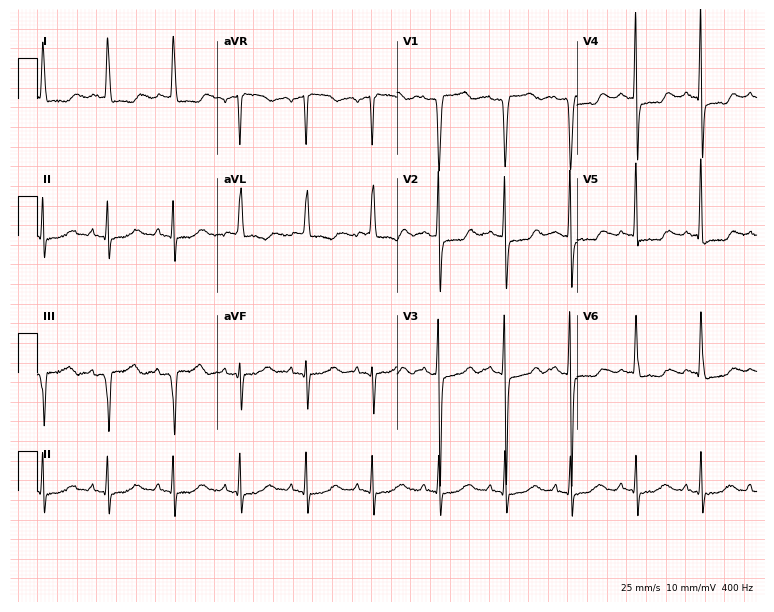
Electrocardiogram, a female patient, 71 years old. Of the six screened findings (first-degree AV block, right bundle branch block, left bundle branch block, sinus bradycardia, atrial fibrillation, sinus tachycardia), none is recorded.